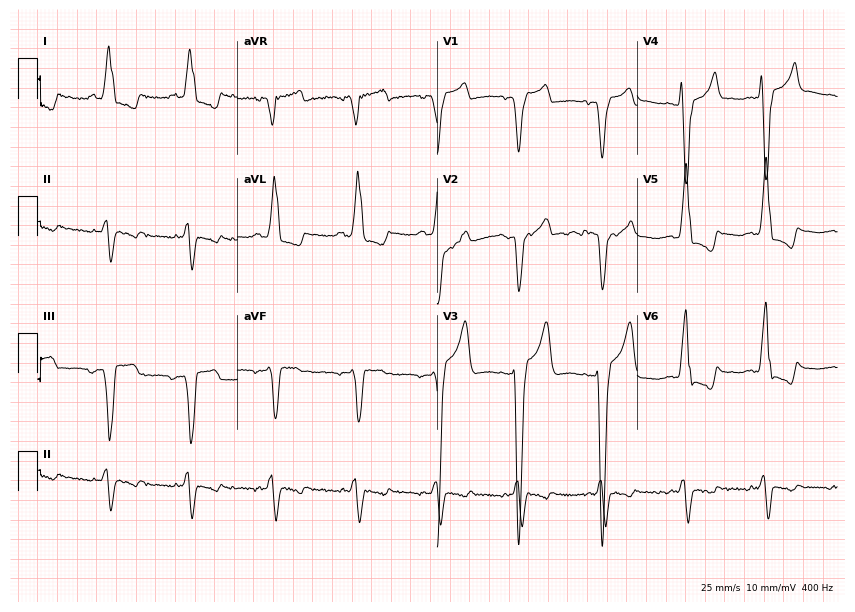
Resting 12-lead electrocardiogram. Patient: a female, 61 years old. The tracing shows left bundle branch block.